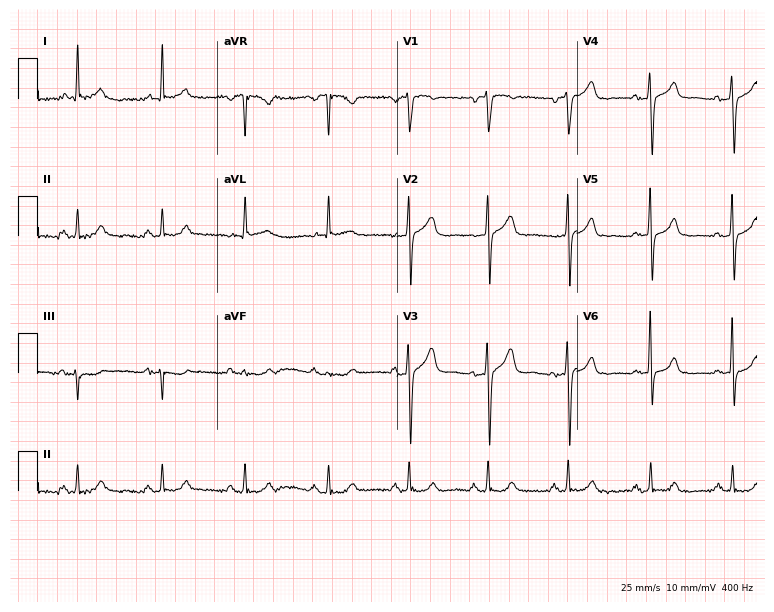
12-lead ECG from a woman, 80 years old. No first-degree AV block, right bundle branch block (RBBB), left bundle branch block (LBBB), sinus bradycardia, atrial fibrillation (AF) or sinus tachycardia recorded for this tracing.